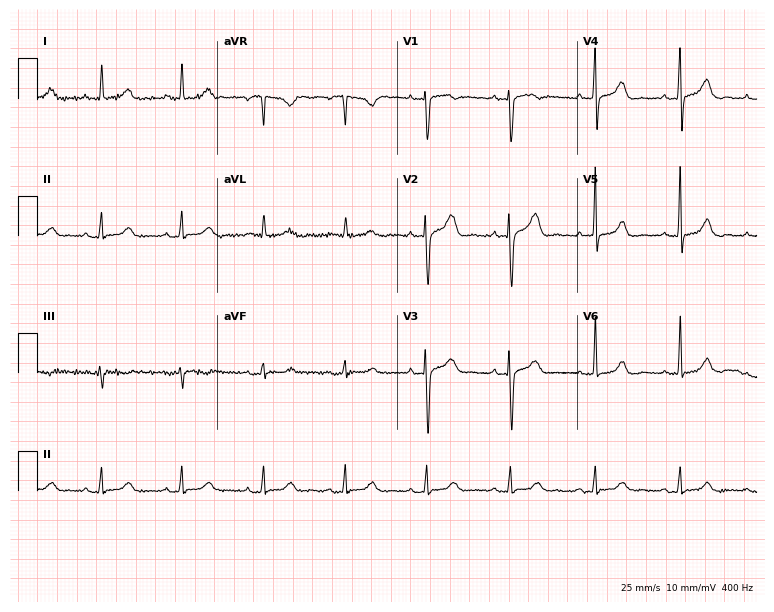
Electrocardiogram, a female patient, 58 years old. Of the six screened findings (first-degree AV block, right bundle branch block, left bundle branch block, sinus bradycardia, atrial fibrillation, sinus tachycardia), none is recorded.